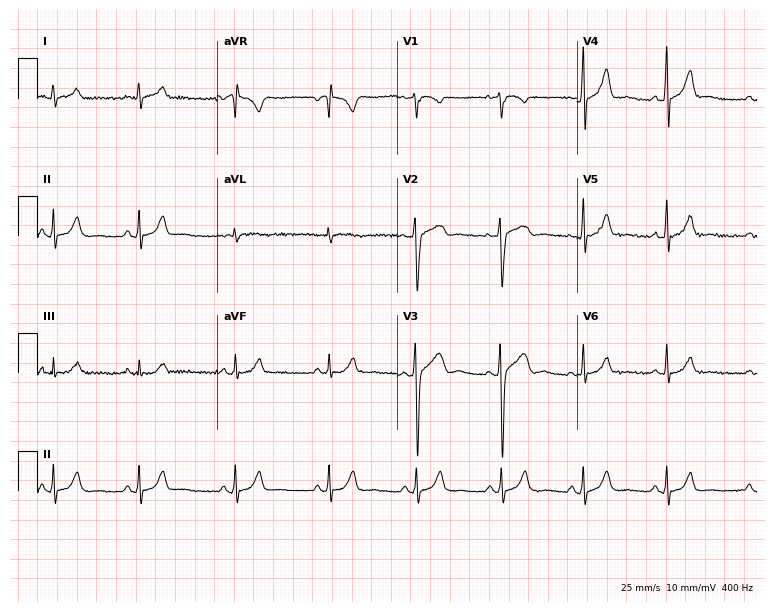
Electrocardiogram (7.3-second recording at 400 Hz), a male patient, 22 years old. Overall reading on record: normal ECG.